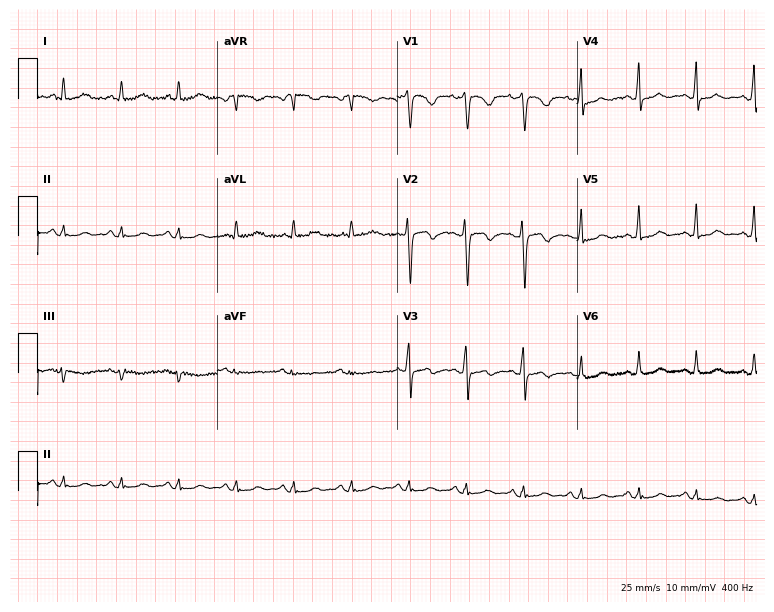
Electrocardiogram (7.3-second recording at 400 Hz), a 51-year-old female patient. Interpretation includes sinus tachycardia (a sinus rate of 100 beats per minute or more).